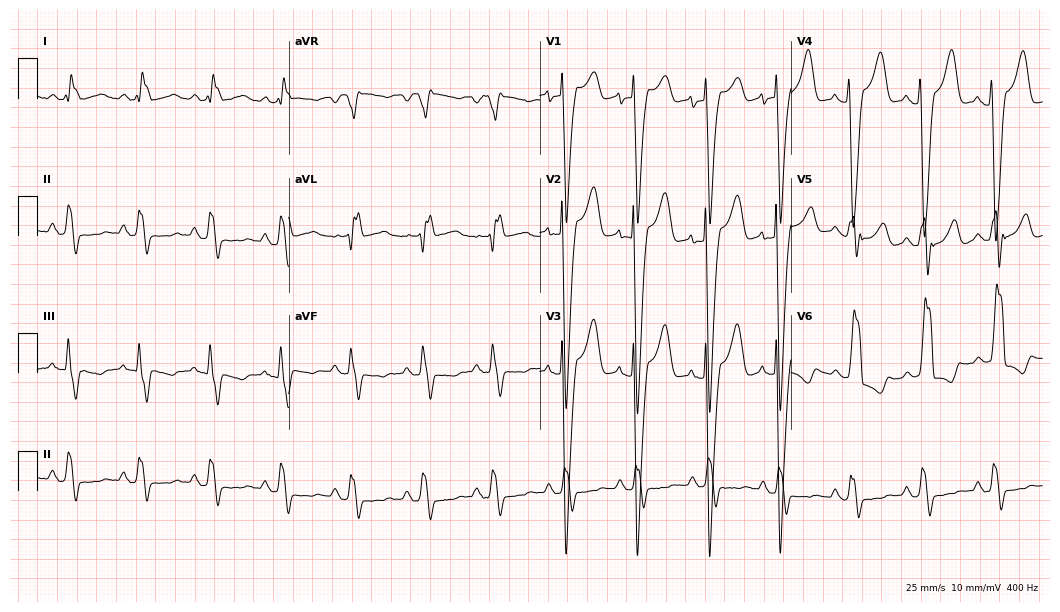
12-lead ECG from a female patient, 55 years old (10.2-second recording at 400 Hz). Shows left bundle branch block (LBBB).